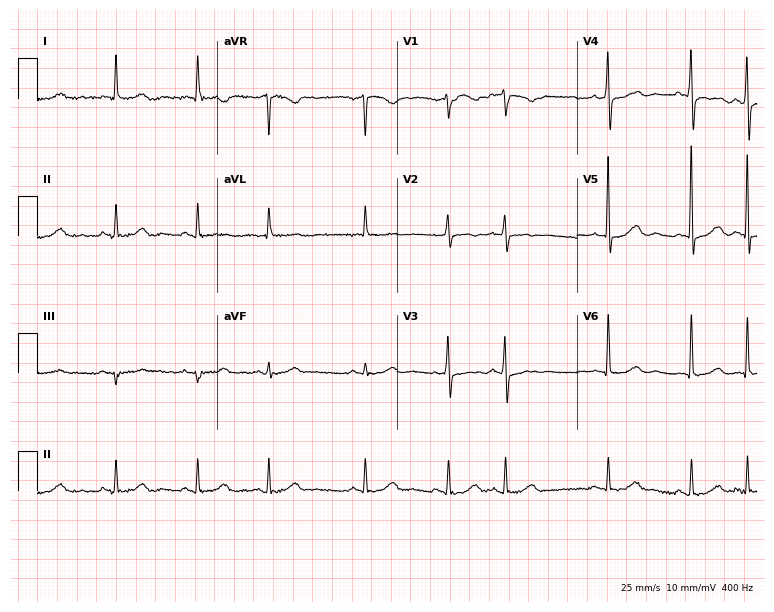
12-lead ECG from a woman, 80 years old. Screened for six findings — first-degree AV block, right bundle branch block, left bundle branch block, sinus bradycardia, atrial fibrillation, sinus tachycardia — none is recorded. Findings outside these six are not listed.